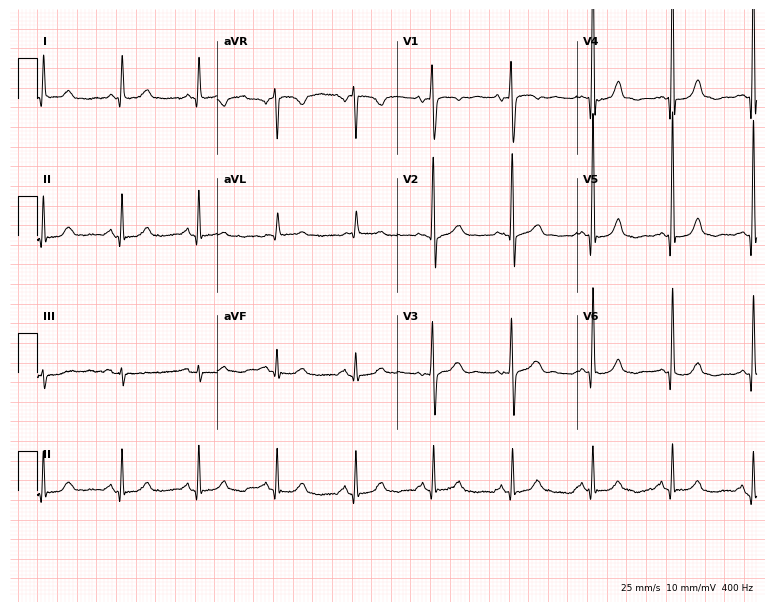
Electrocardiogram, a female, 76 years old. Overall reading on record: normal ECG.